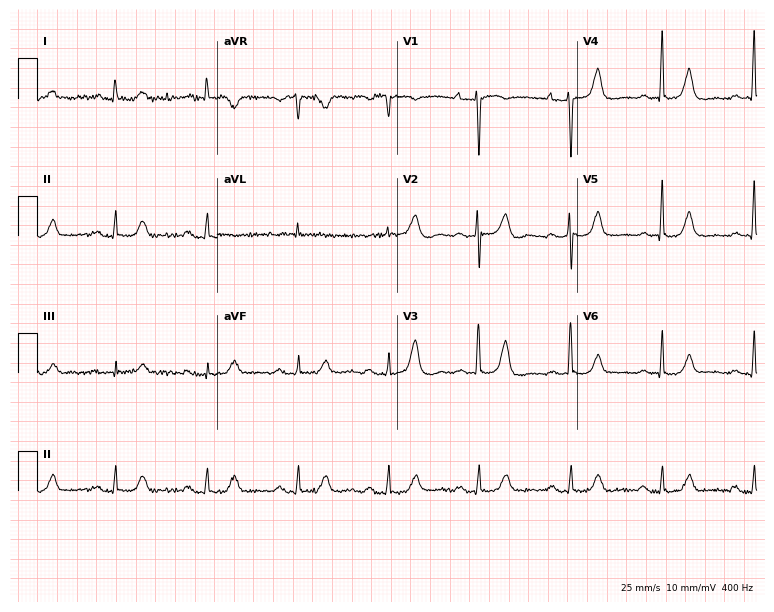
12-lead ECG from a female patient, 83 years old (7.3-second recording at 400 Hz). No first-degree AV block, right bundle branch block, left bundle branch block, sinus bradycardia, atrial fibrillation or sinus tachycardia recorded for this tracing.